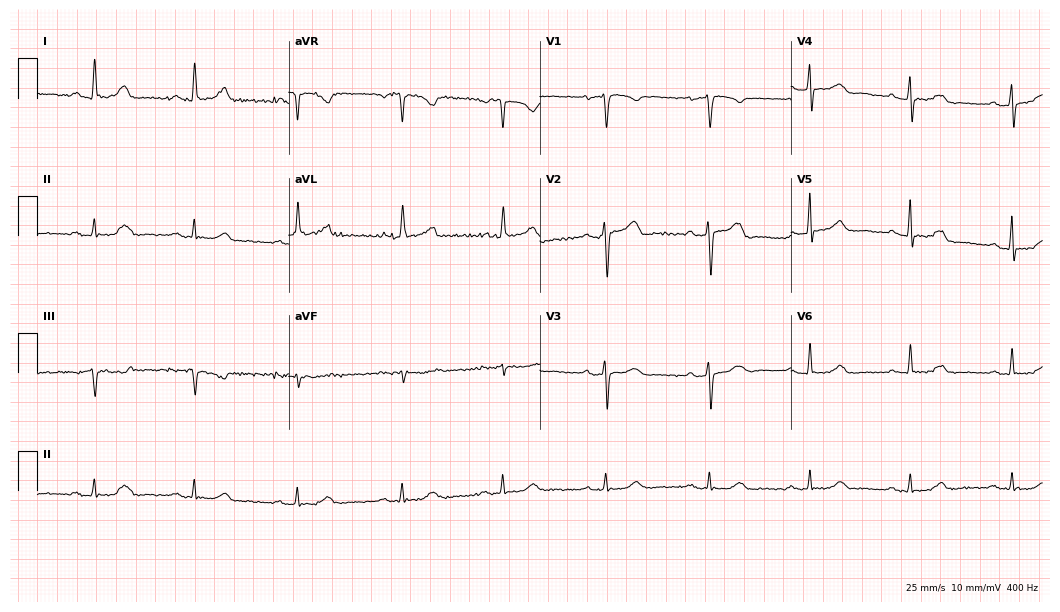
Electrocardiogram, a 74-year-old female patient. Of the six screened findings (first-degree AV block, right bundle branch block, left bundle branch block, sinus bradycardia, atrial fibrillation, sinus tachycardia), none is recorded.